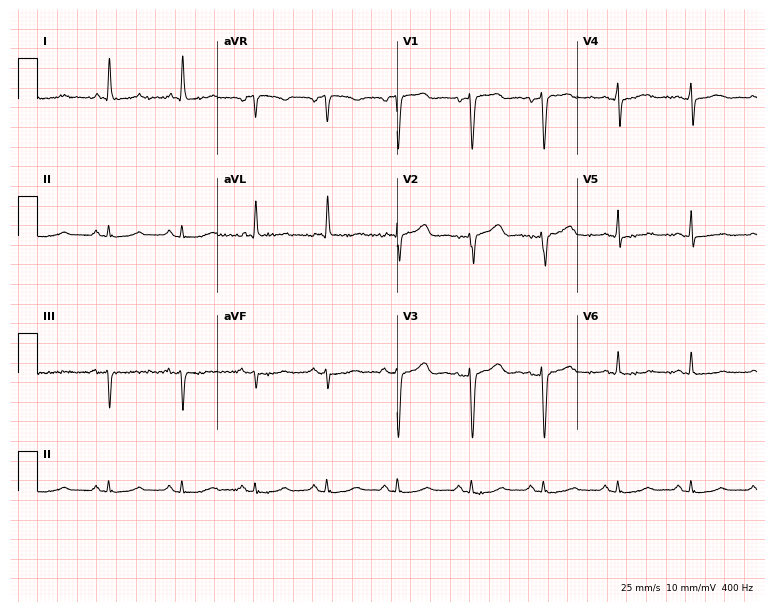
Resting 12-lead electrocardiogram (7.3-second recording at 400 Hz). Patient: a 74-year-old woman. None of these six findings is recorded: first-degree AV block, right bundle branch block, left bundle branch block, sinus bradycardia, atrial fibrillation, sinus tachycardia. Only these six findings were labelled.